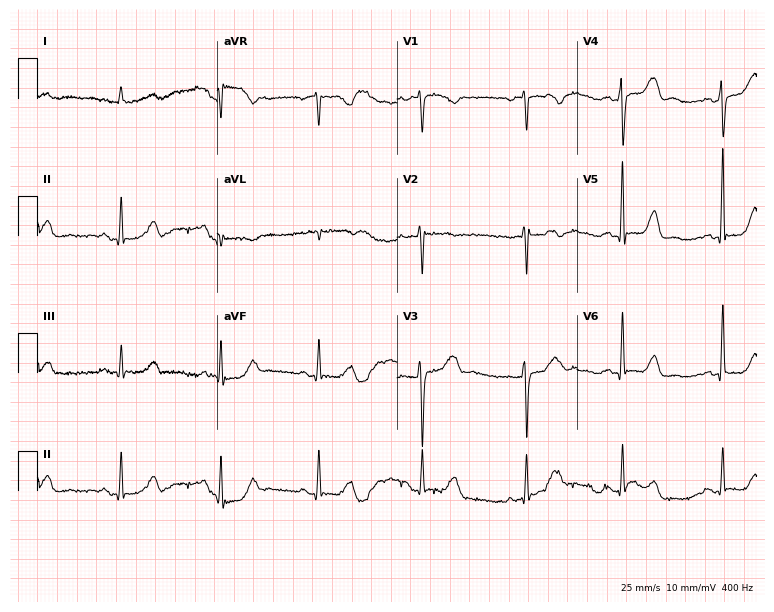
Resting 12-lead electrocardiogram. Patient: a woman, 46 years old. None of these six findings is recorded: first-degree AV block, right bundle branch block, left bundle branch block, sinus bradycardia, atrial fibrillation, sinus tachycardia. Other findings, if any, are not listed.